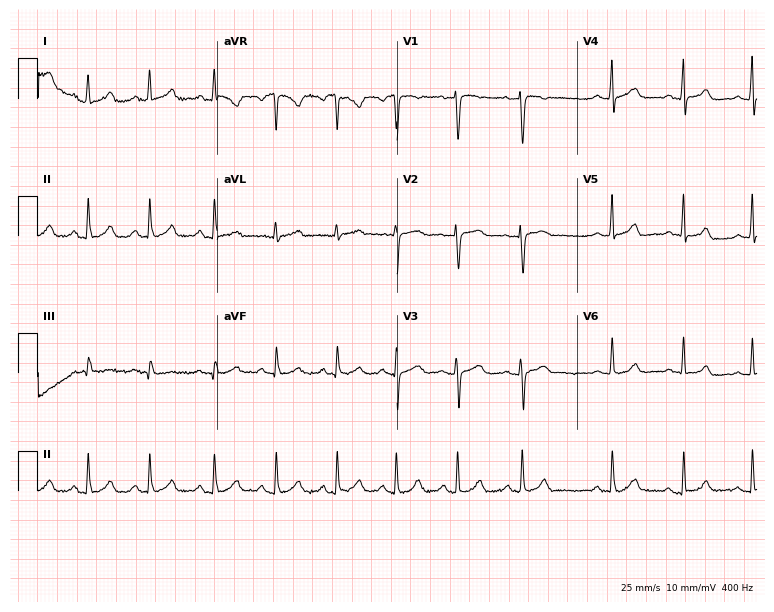
12-lead ECG (7.3-second recording at 400 Hz) from a 22-year-old woman. Screened for six findings — first-degree AV block, right bundle branch block, left bundle branch block, sinus bradycardia, atrial fibrillation, sinus tachycardia — none is recorded. Other findings, if any, are not listed.